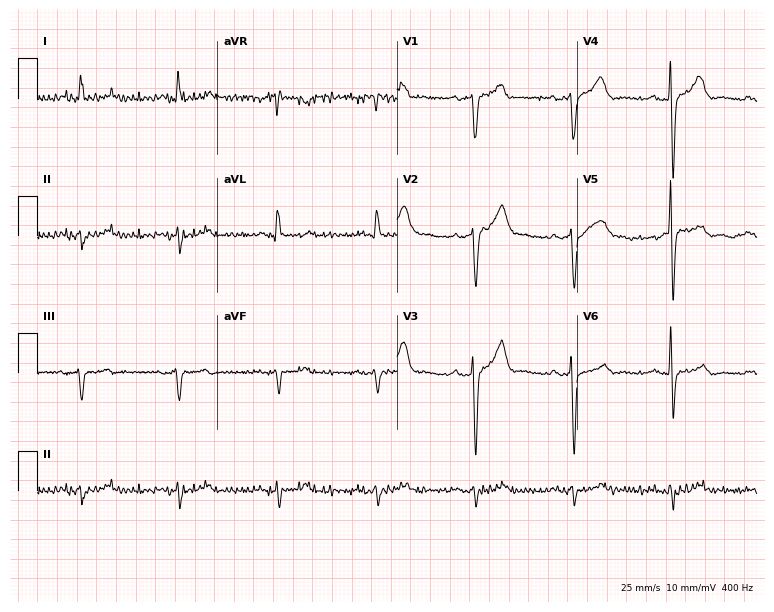
ECG — a male patient, 62 years old. Screened for six findings — first-degree AV block, right bundle branch block, left bundle branch block, sinus bradycardia, atrial fibrillation, sinus tachycardia — none is recorded.